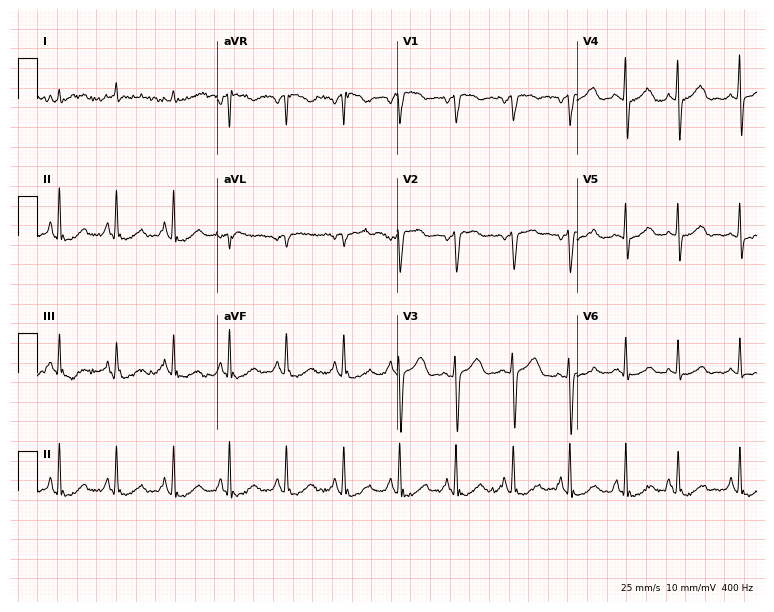
Electrocardiogram (7.3-second recording at 400 Hz), a 65-year-old female. Interpretation includes sinus tachycardia (a sinus rate of 100 beats per minute or more).